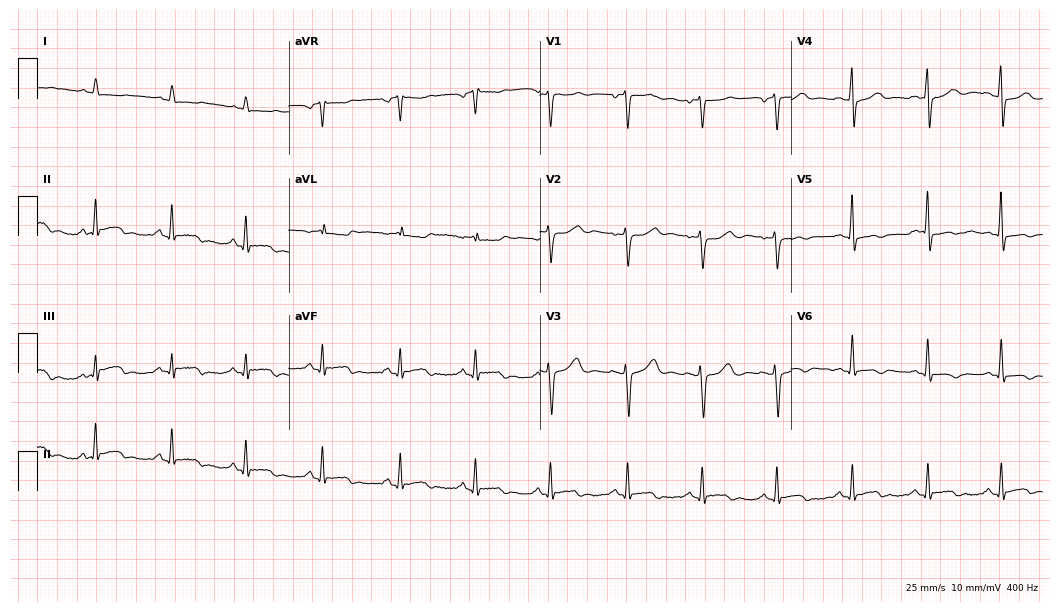
ECG — a 53-year-old female patient. Screened for six findings — first-degree AV block, right bundle branch block (RBBB), left bundle branch block (LBBB), sinus bradycardia, atrial fibrillation (AF), sinus tachycardia — none is recorded.